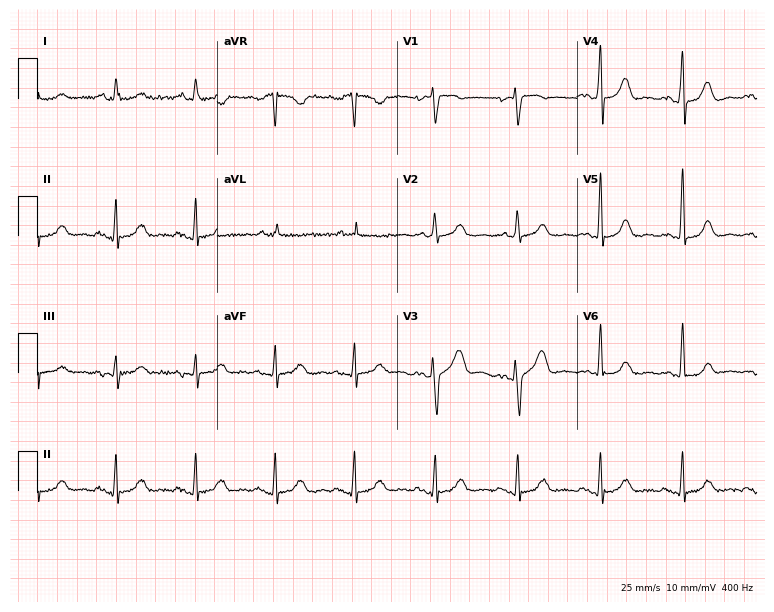
Standard 12-lead ECG recorded from a woman, 63 years old. None of these six findings is recorded: first-degree AV block, right bundle branch block (RBBB), left bundle branch block (LBBB), sinus bradycardia, atrial fibrillation (AF), sinus tachycardia.